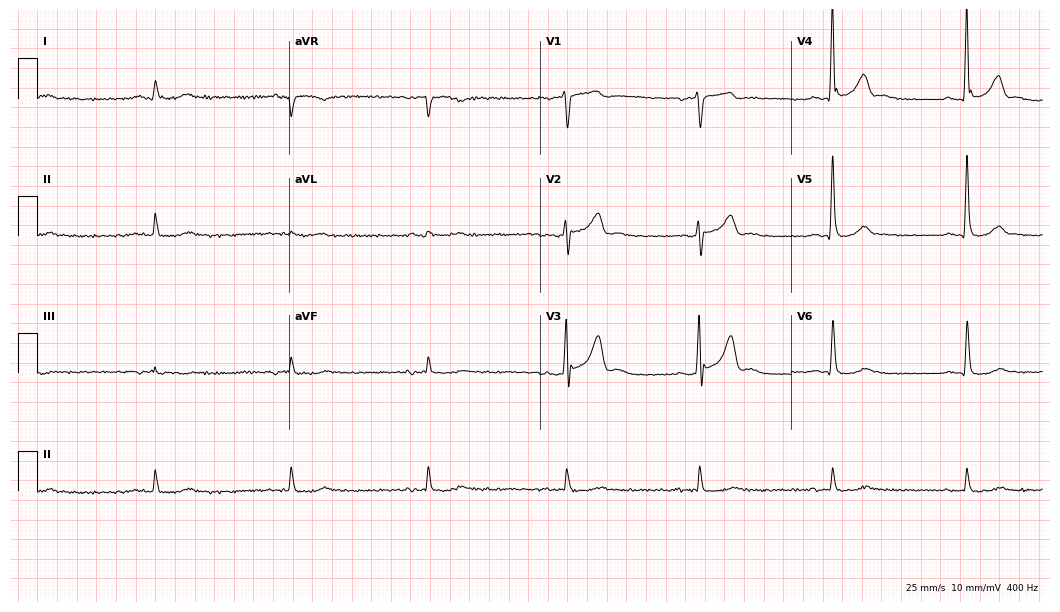
12-lead ECG from a male patient, 79 years old (10.2-second recording at 400 Hz). Shows sinus bradycardia (a sinus rate of 50 beats per minute or less).